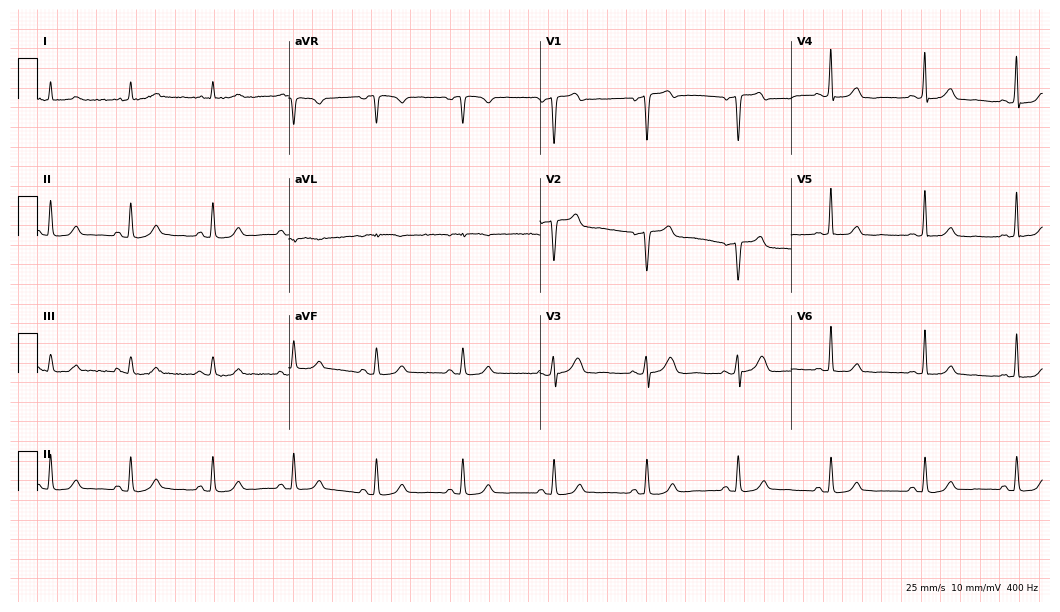
12-lead ECG from a 59-year-old woman (10.2-second recording at 400 Hz). No first-degree AV block, right bundle branch block, left bundle branch block, sinus bradycardia, atrial fibrillation or sinus tachycardia recorded for this tracing.